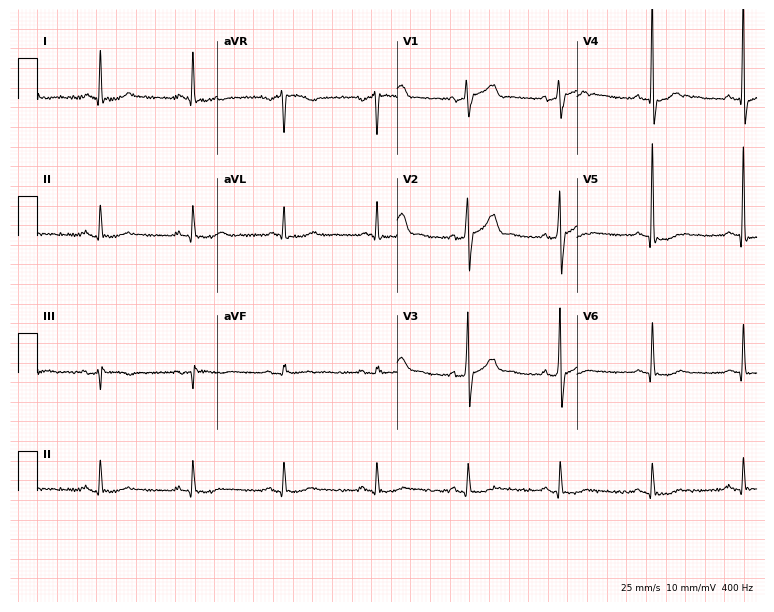
12-lead ECG (7.3-second recording at 400 Hz) from a male, 62 years old. Screened for six findings — first-degree AV block, right bundle branch block, left bundle branch block, sinus bradycardia, atrial fibrillation, sinus tachycardia — none is recorded. Only these six findings were labelled.